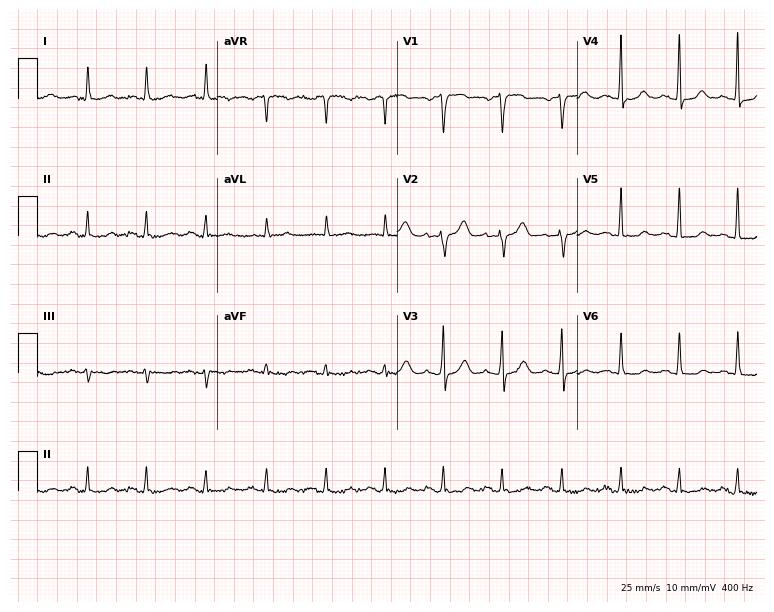
Standard 12-lead ECG recorded from a 68-year-old female patient. None of these six findings is recorded: first-degree AV block, right bundle branch block, left bundle branch block, sinus bradycardia, atrial fibrillation, sinus tachycardia.